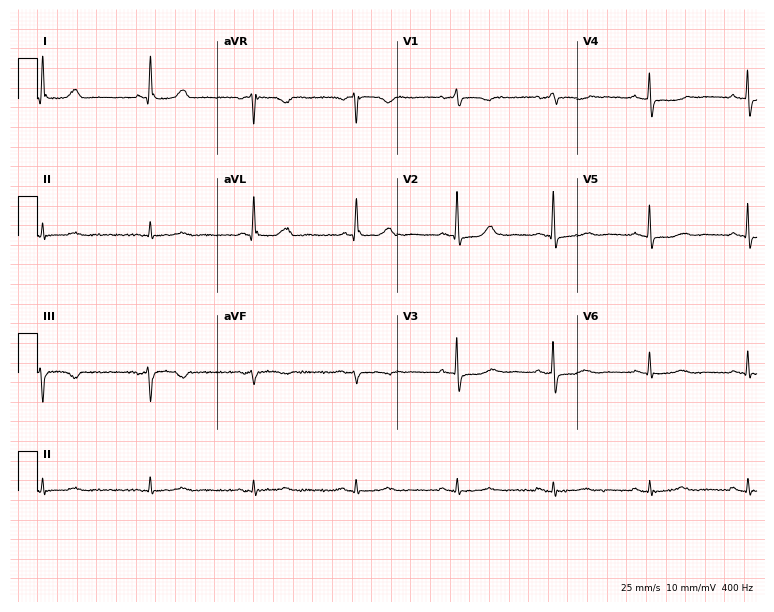
ECG (7.3-second recording at 400 Hz) — a female patient, 83 years old. Labelled as a normal ECG.